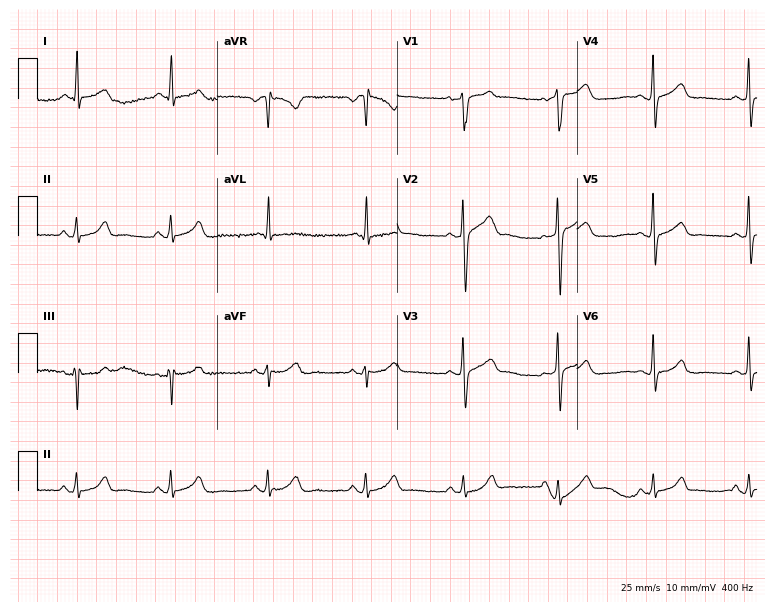
12-lead ECG from a 32-year-old male. Recorded interpretation: within normal limits.